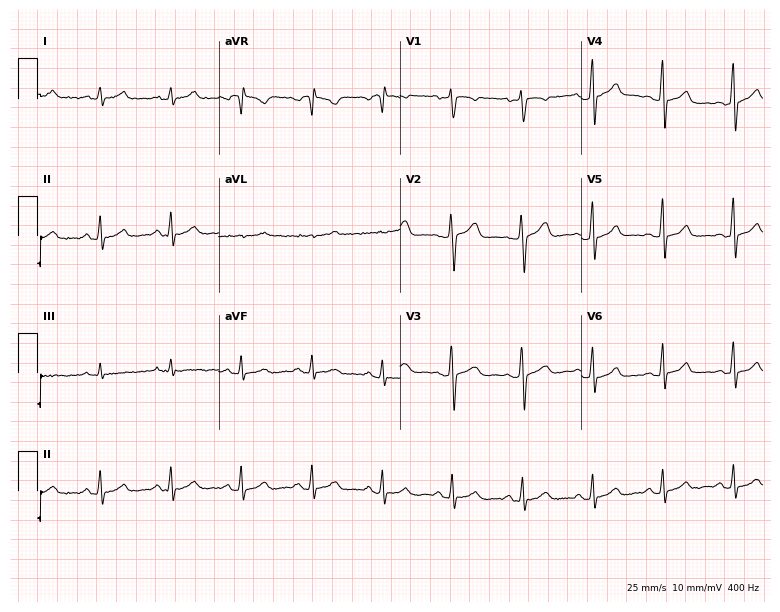
ECG (7.4-second recording at 400 Hz) — a 33-year-old woman. Labelled as a normal ECG.